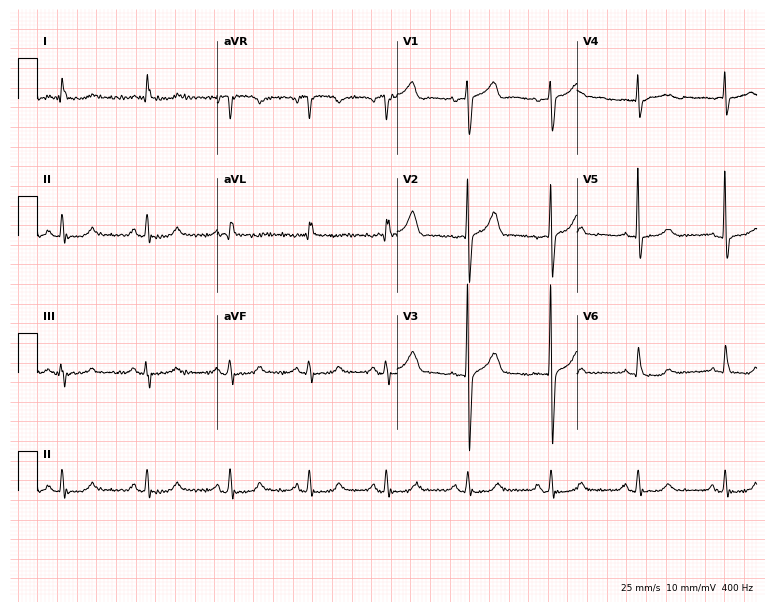
12-lead ECG from a man, 56 years old. No first-degree AV block, right bundle branch block, left bundle branch block, sinus bradycardia, atrial fibrillation or sinus tachycardia recorded for this tracing. Only these six findings were labelled.